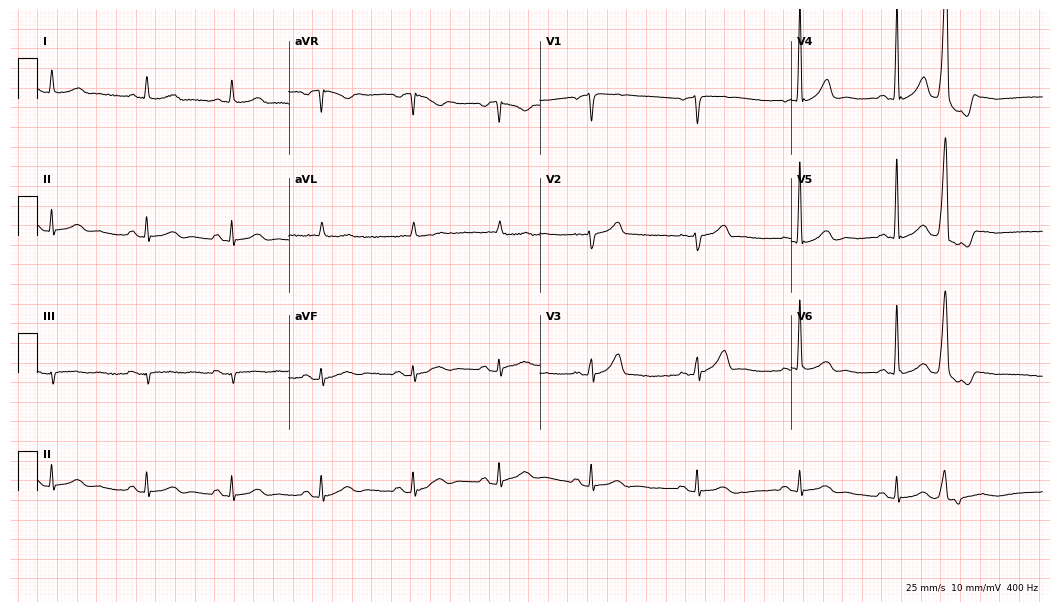
ECG (10.2-second recording at 400 Hz) — a man, 69 years old. Screened for six findings — first-degree AV block, right bundle branch block (RBBB), left bundle branch block (LBBB), sinus bradycardia, atrial fibrillation (AF), sinus tachycardia — none is recorded. Only these six findings were labelled.